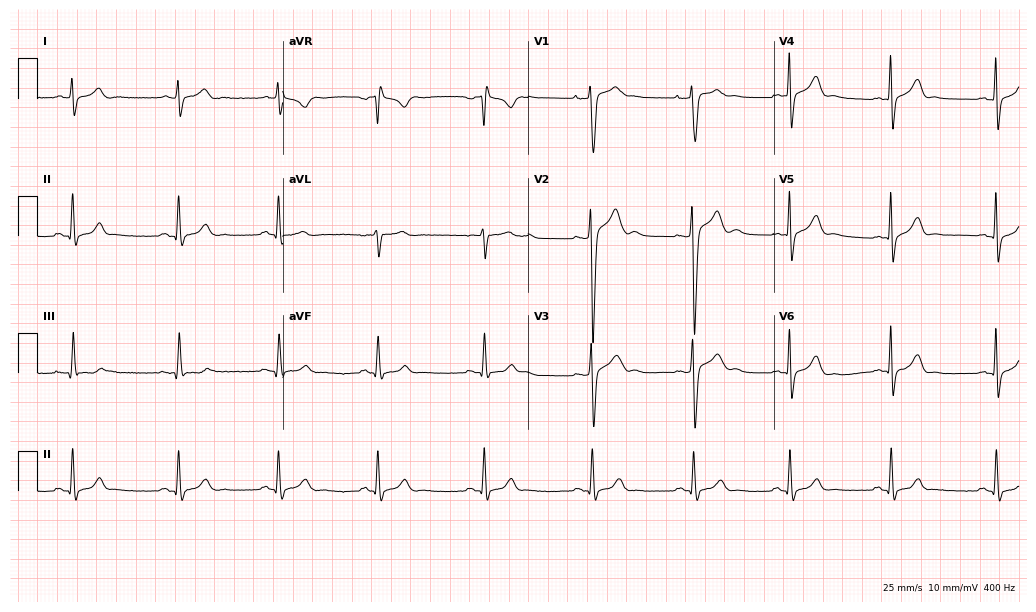
Standard 12-lead ECG recorded from a male, 19 years old. None of these six findings is recorded: first-degree AV block, right bundle branch block (RBBB), left bundle branch block (LBBB), sinus bradycardia, atrial fibrillation (AF), sinus tachycardia. Other findings, if any, are not listed.